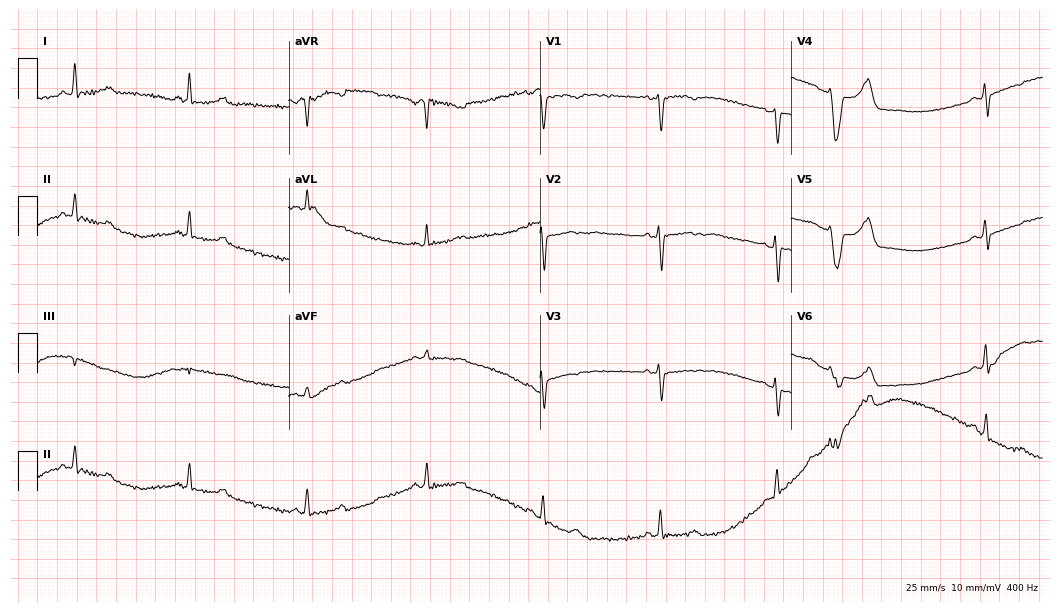
Standard 12-lead ECG recorded from a 56-year-old woman. None of these six findings is recorded: first-degree AV block, right bundle branch block, left bundle branch block, sinus bradycardia, atrial fibrillation, sinus tachycardia.